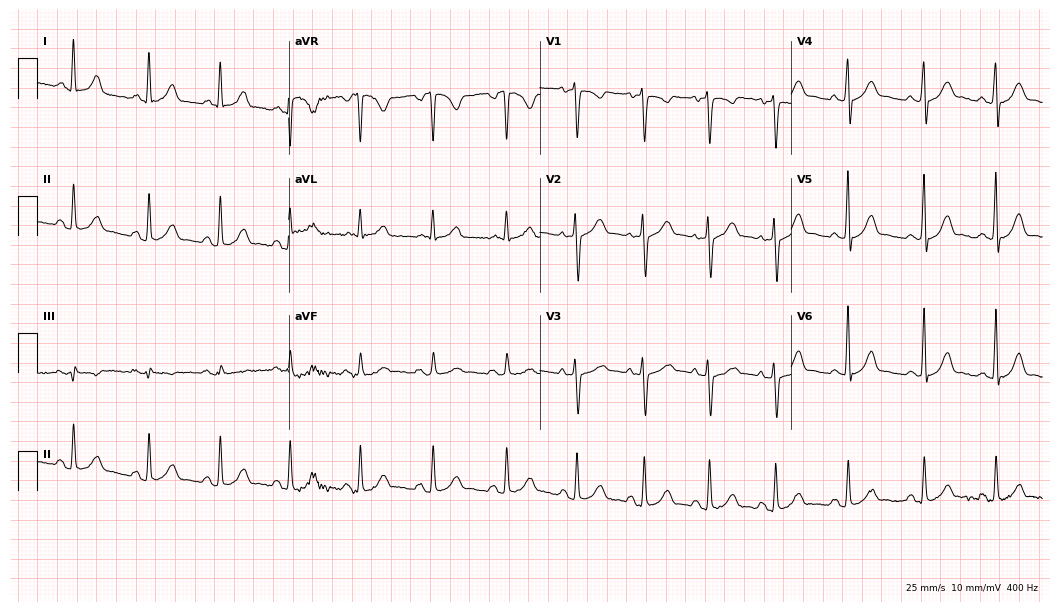
12-lead ECG from a 32-year-old female. Labelled as a normal ECG.